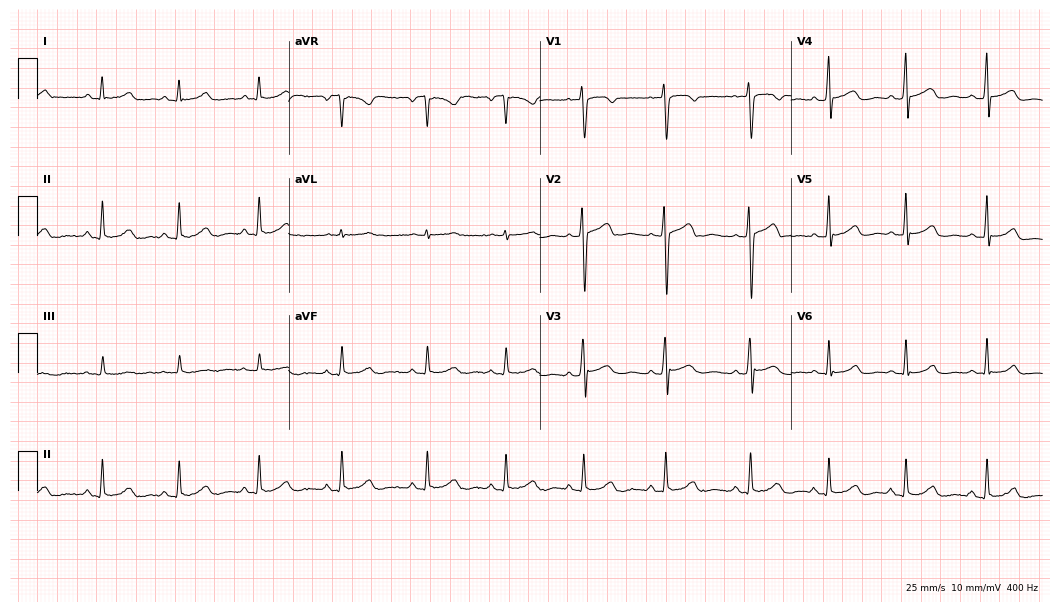
Standard 12-lead ECG recorded from a 26-year-old woman (10.2-second recording at 400 Hz). Read as a normal ECG.